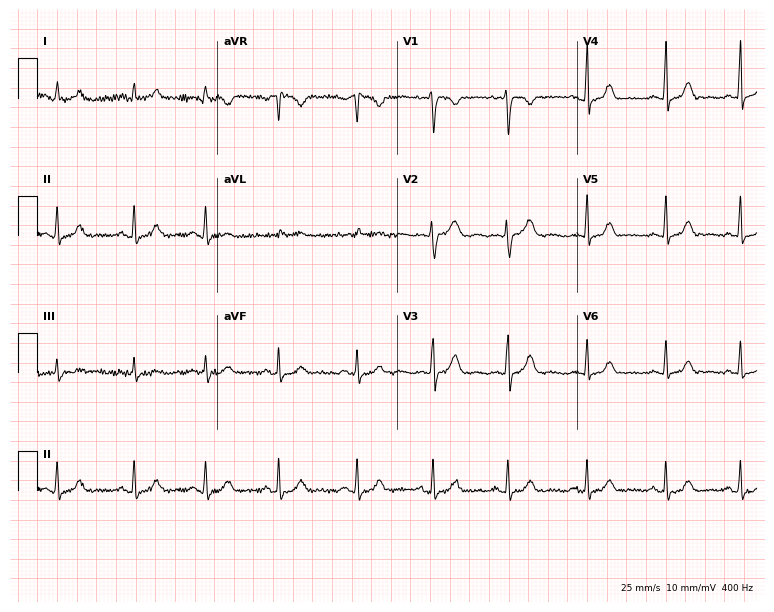
ECG — a 27-year-old female. Screened for six findings — first-degree AV block, right bundle branch block, left bundle branch block, sinus bradycardia, atrial fibrillation, sinus tachycardia — none is recorded. Findings outside these six are not listed.